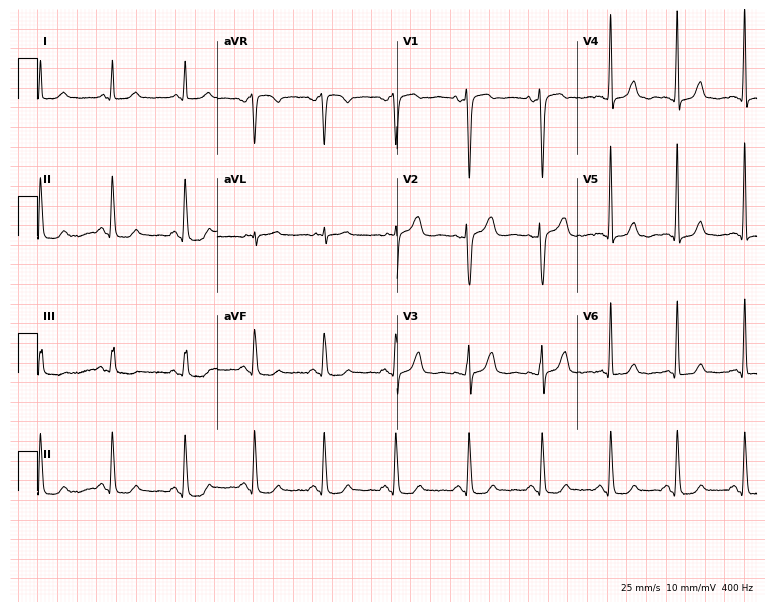
Resting 12-lead electrocardiogram (7.3-second recording at 400 Hz). Patient: a 49-year-old female. None of these six findings is recorded: first-degree AV block, right bundle branch block (RBBB), left bundle branch block (LBBB), sinus bradycardia, atrial fibrillation (AF), sinus tachycardia.